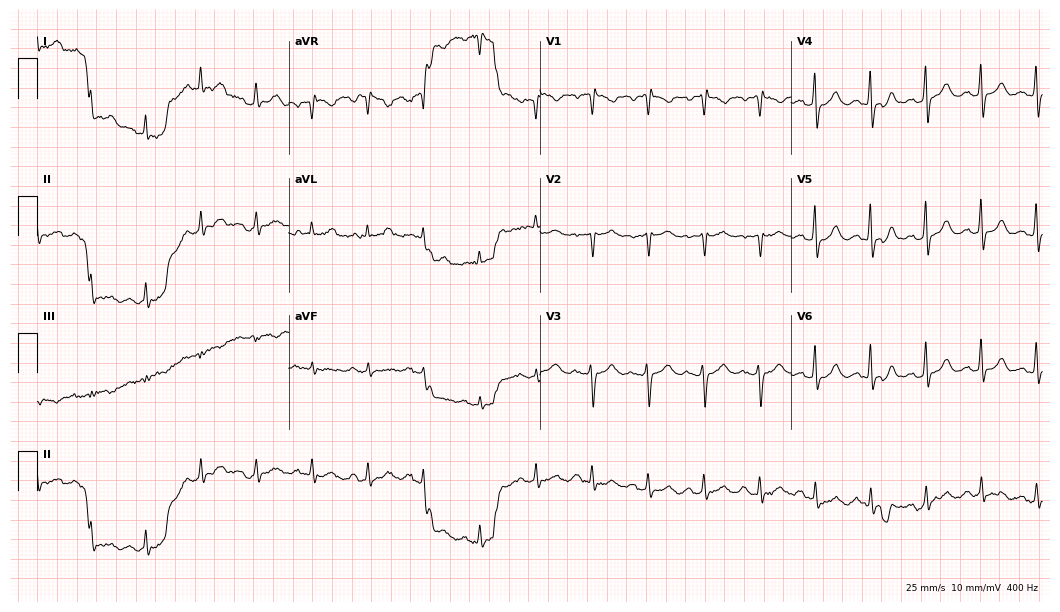
Electrocardiogram (10.2-second recording at 400 Hz), a woman, 56 years old. Of the six screened findings (first-degree AV block, right bundle branch block (RBBB), left bundle branch block (LBBB), sinus bradycardia, atrial fibrillation (AF), sinus tachycardia), none is recorded.